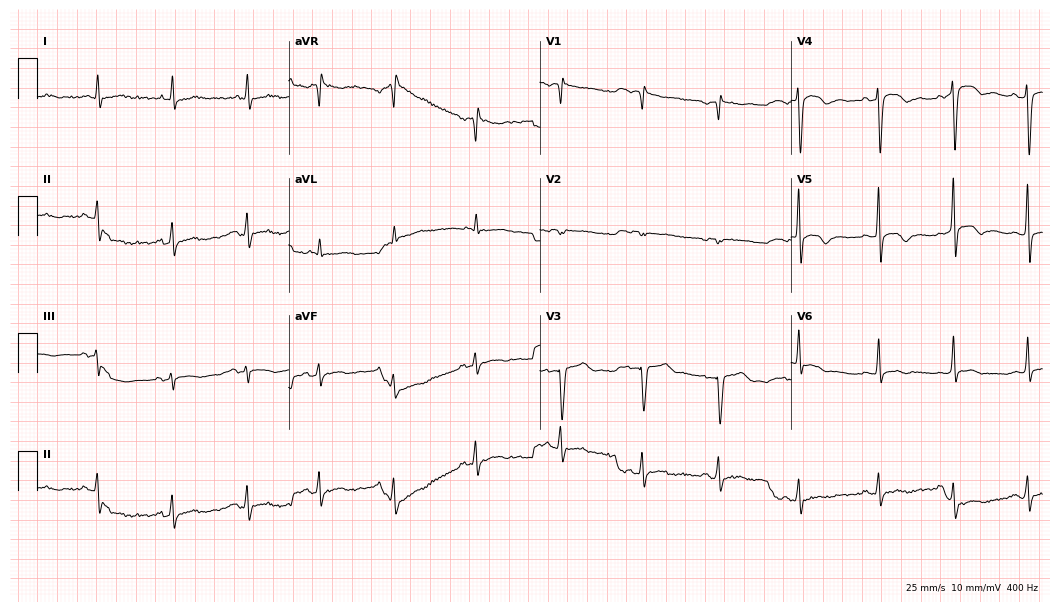
Standard 12-lead ECG recorded from a 38-year-old male. None of these six findings is recorded: first-degree AV block, right bundle branch block, left bundle branch block, sinus bradycardia, atrial fibrillation, sinus tachycardia.